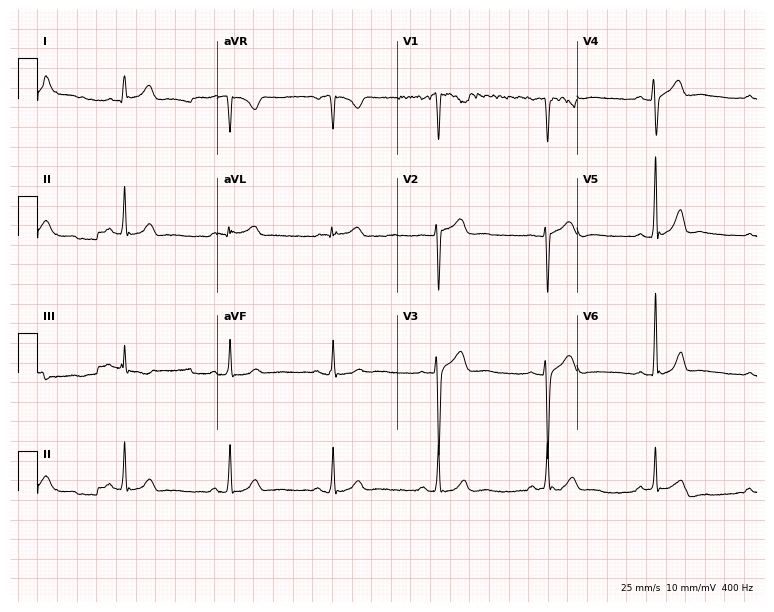
12-lead ECG from a 33-year-old male patient (7.3-second recording at 400 Hz). Recorded interpretation: within normal limits.